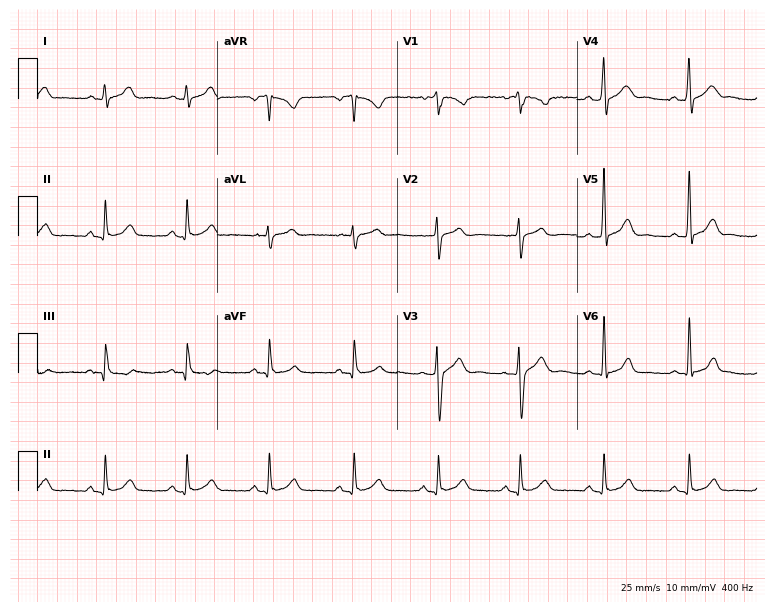
Electrocardiogram, a 30-year-old man. Overall reading on record: normal ECG.